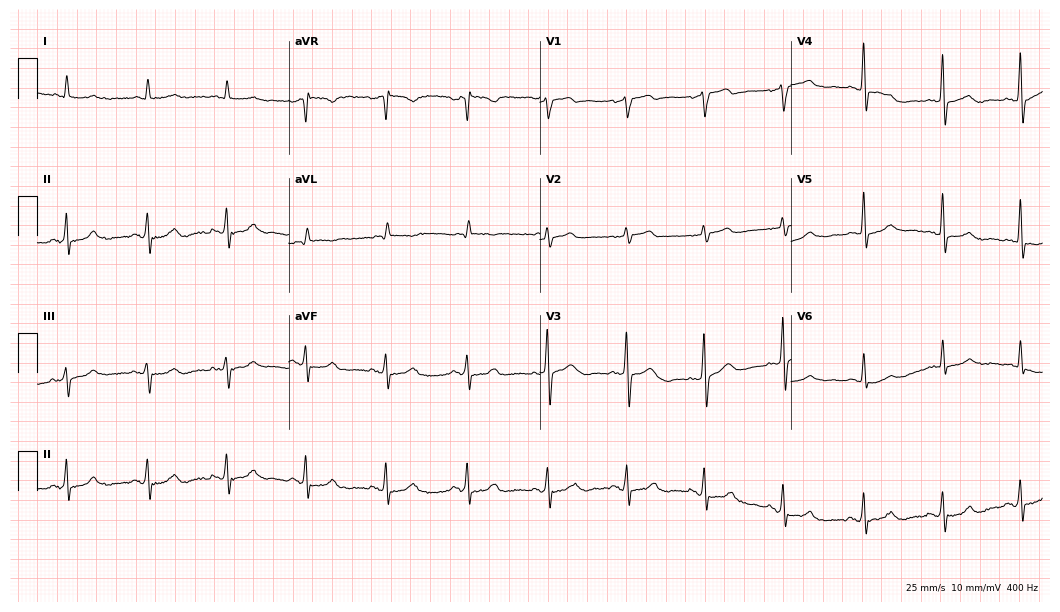
12-lead ECG from a man, 72 years old (10.2-second recording at 400 Hz). Recorded interpretation: within normal limits.